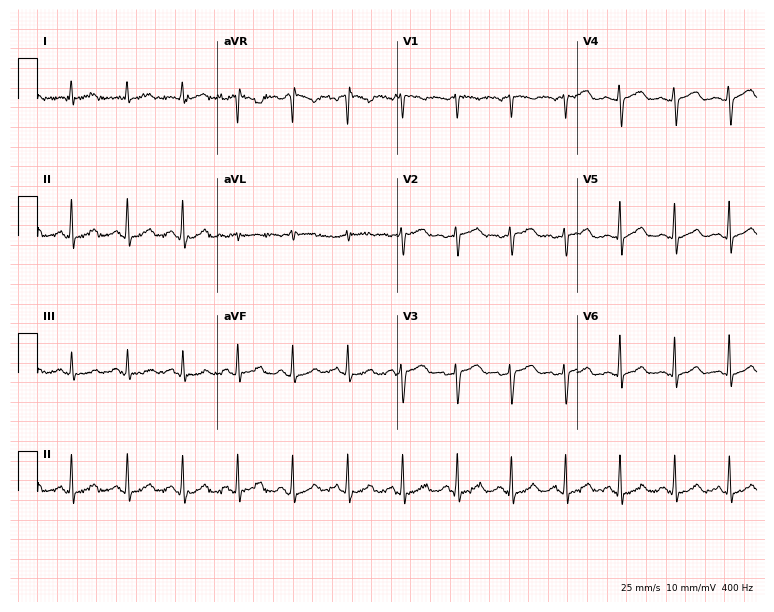
Resting 12-lead electrocardiogram. Patient: a female, 51 years old. None of these six findings is recorded: first-degree AV block, right bundle branch block (RBBB), left bundle branch block (LBBB), sinus bradycardia, atrial fibrillation (AF), sinus tachycardia.